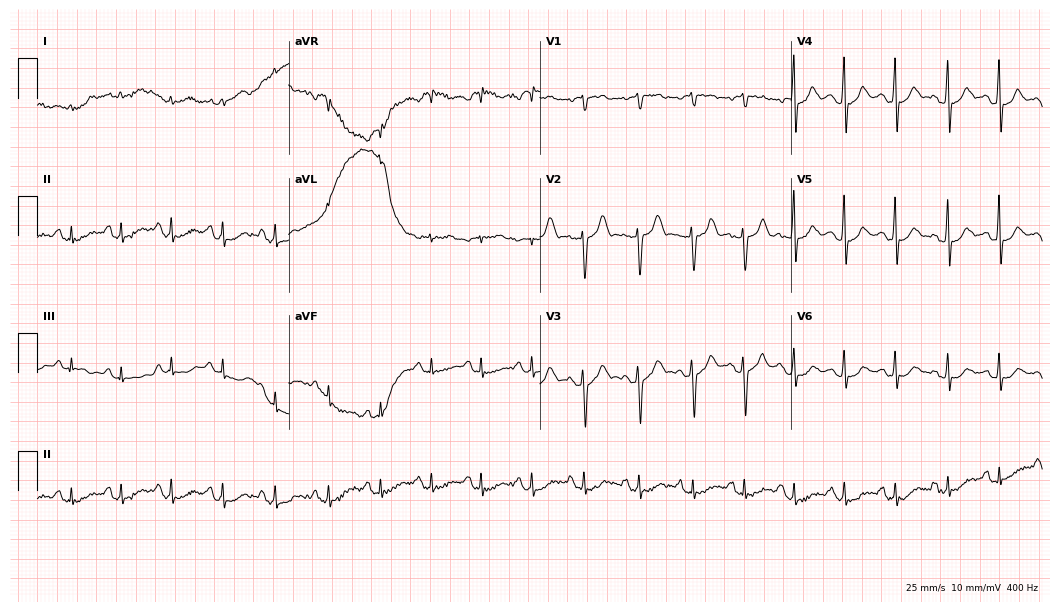
12-lead ECG (10.2-second recording at 400 Hz) from a female patient, 32 years old. Findings include sinus tachycardia (a sinus rate of 100 beats per minute or more).